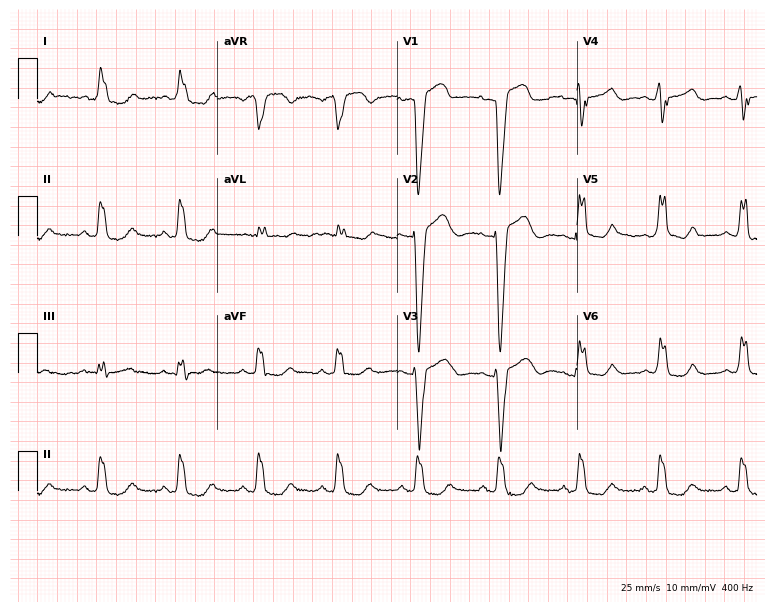
12-lead ECG from a 60-year-old female patient. Findings include left bundle branch block.